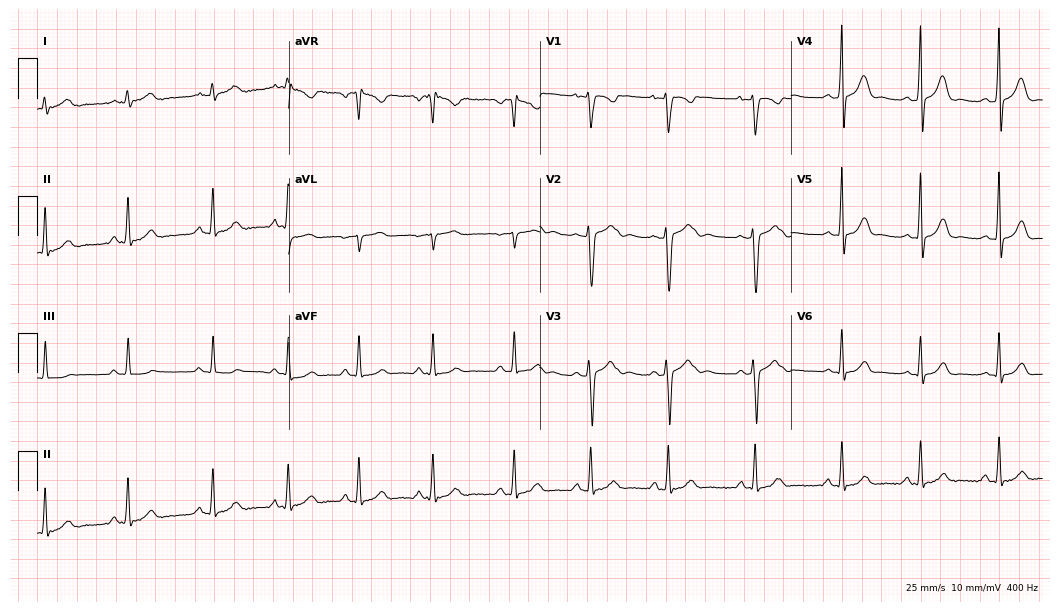
Resting 12-lead electrocardiogram. Patient: a 20-year-old female. None of these six findings is recorded: first-degree AV block, right bundle branch block, left bundle branch block, sinus bradycardia, atrial fibrillation, sinus tachycardia. Only these six findings were labelled.